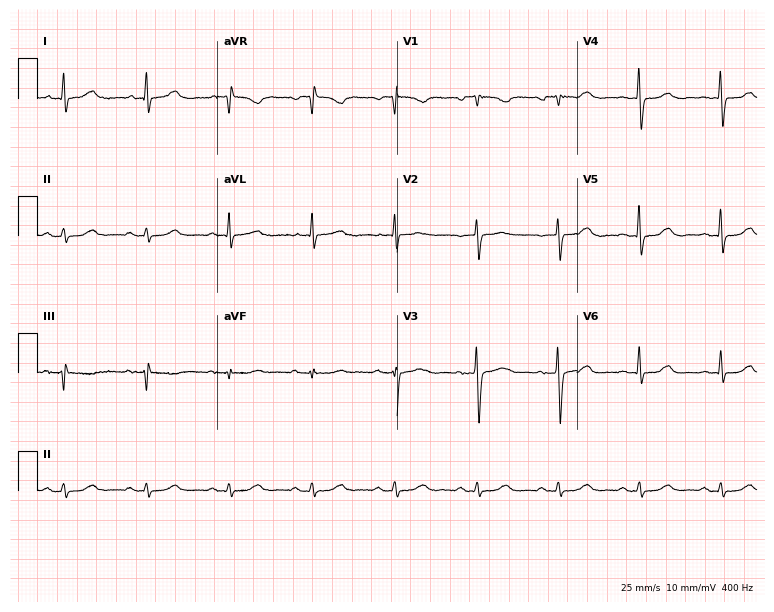
Standard 12-lead ECG recorded from a female patient, 77 years old (7.3-second recording at 400 Hz). Read as a normal ECG.